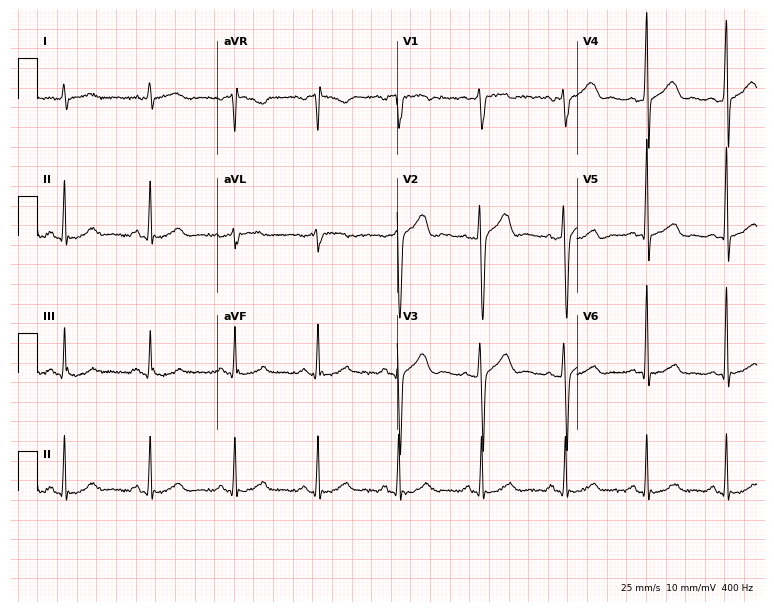
Electrocardiogram, a 44-year-old man. Of the six screened findings (first-degree AV block, right bundle branch block (RBBB), left bundle branch block (LBBB), sinus bradycardia, atrial fibrillation (AF), sinus tachycardia), none is recorded.